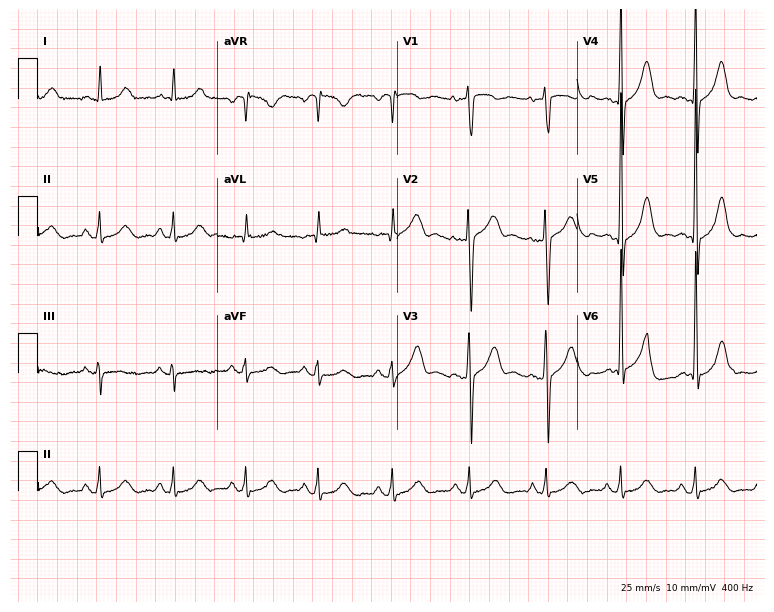
ECG — a 55-year-old man. Screened for six findings — first-degree AV block, right bundle branch block, left bundle branch block, sinus bradycardia, atrial fibrillation, sinus tachycardia — none is recorded.